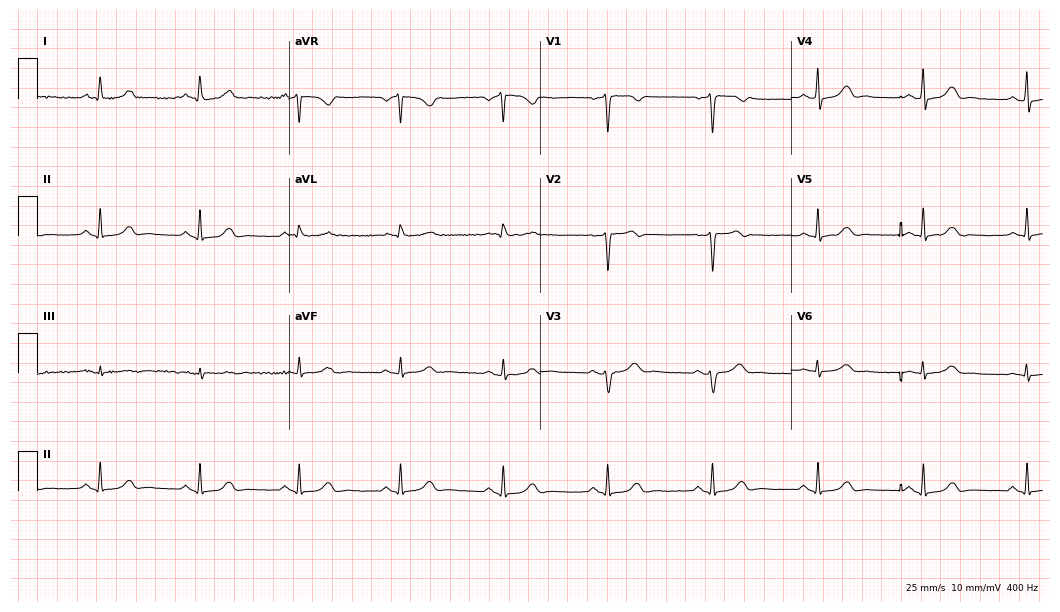
Standard 12-lead ECG recorded from a female, 50 years old. Read as a normal ECG.